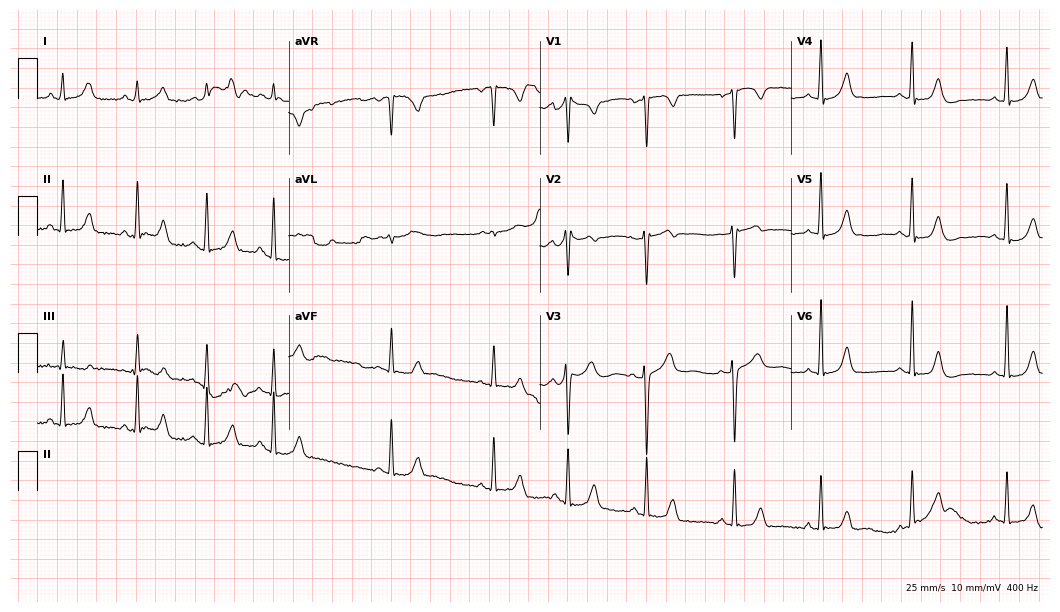
Resting 12-lead electrocardiogram (10.2-second recording at 400 Hz). Patient: a woman, 24 years old. None of these six findings is recorded: first-degree AV block, right bundle branch block, left bundle branch block, sinus bradycardia, atrial fibrillation, sinus tachycardia.